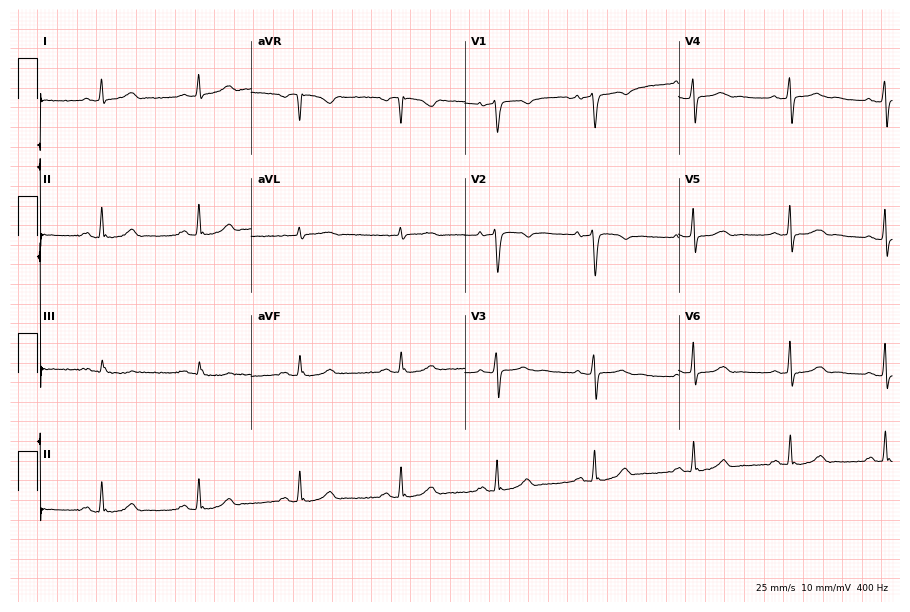
12-lead ECG from a 49-year-old woman (8.7-second recording at 400 Hz). Recorded interpretation: within normal limits.